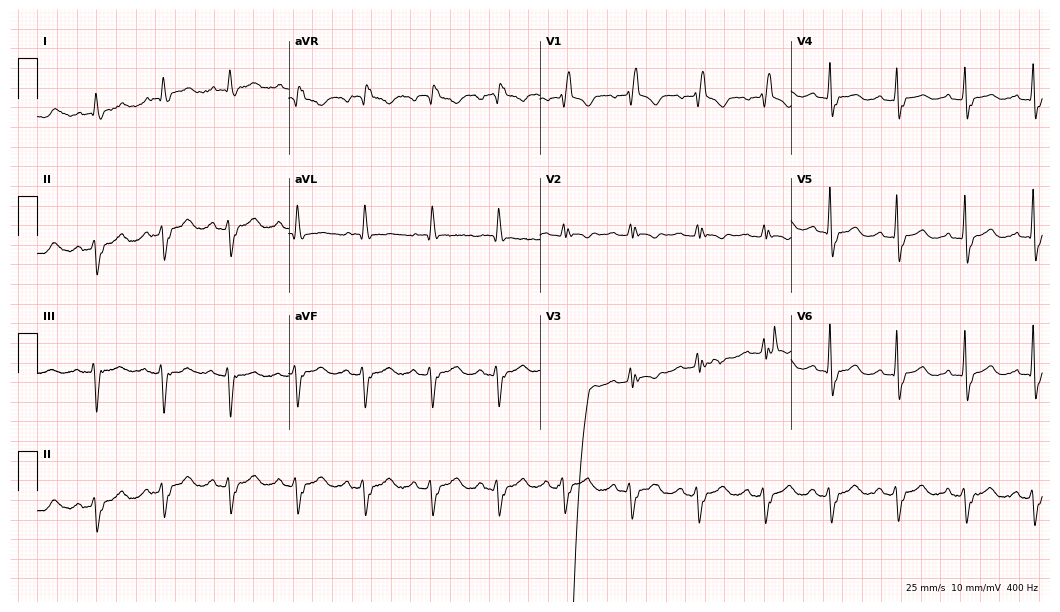
Resting 12-lead electrocardiogram. Patient: an 81-year-old male. The tracing shows right bundle branch block.